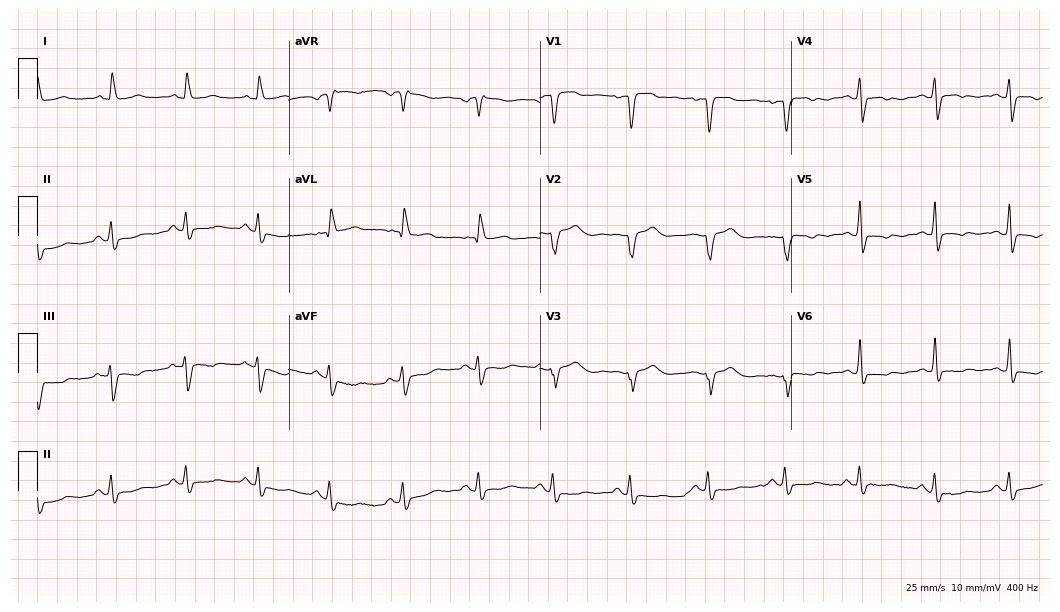
12-lead ECG from a 62-year-old female patient. Screened for six findings — first-degree AV block, right bundle branch block, left bundle branch block, sinus bradycardia, atrial fibrillation, sinus tachycardia — none is recorded.